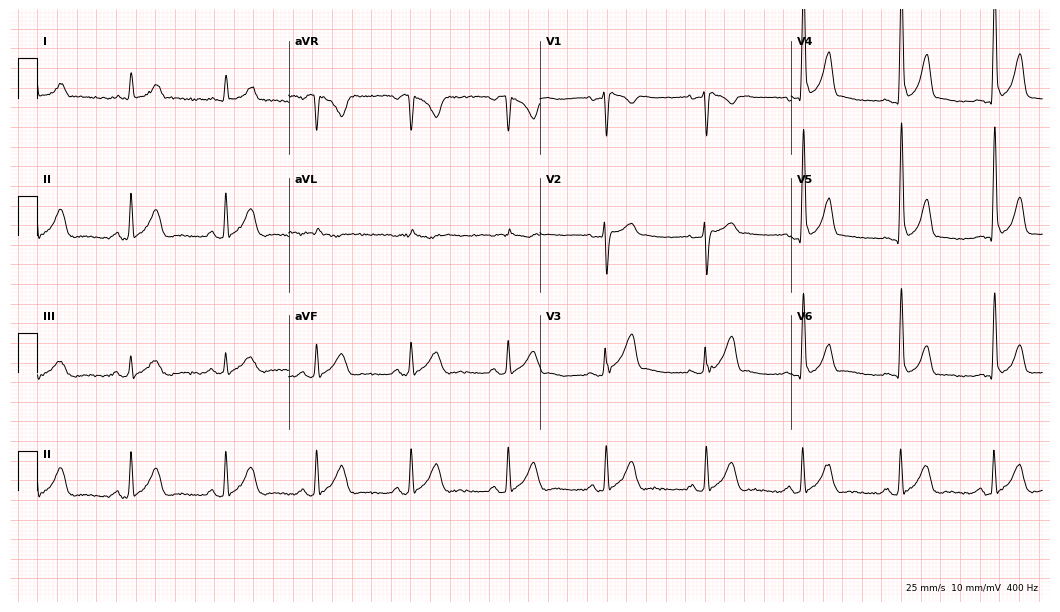
Standard 12-lead ECG recorded from a 43-year-old man. None of these six findings is recorded: first-degree AV block, right bundle branch block (RBBB), left bundle branch block (LBBB), sinus bradycardia, atrial fibrillation (AF), sinus tachycardia. Findings outside these six are not listed.